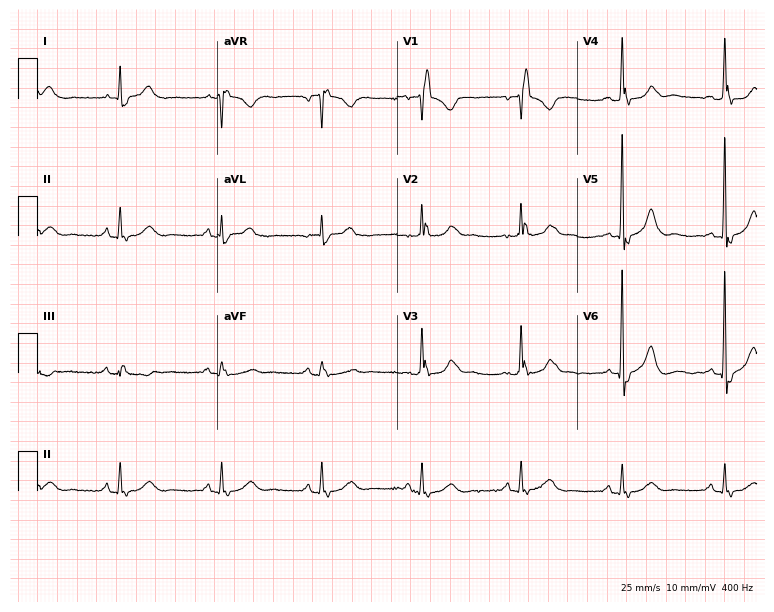
Standard 12-lead ECG recorded from a female patient, 76 years old. The tracing shows right bundle branch block.